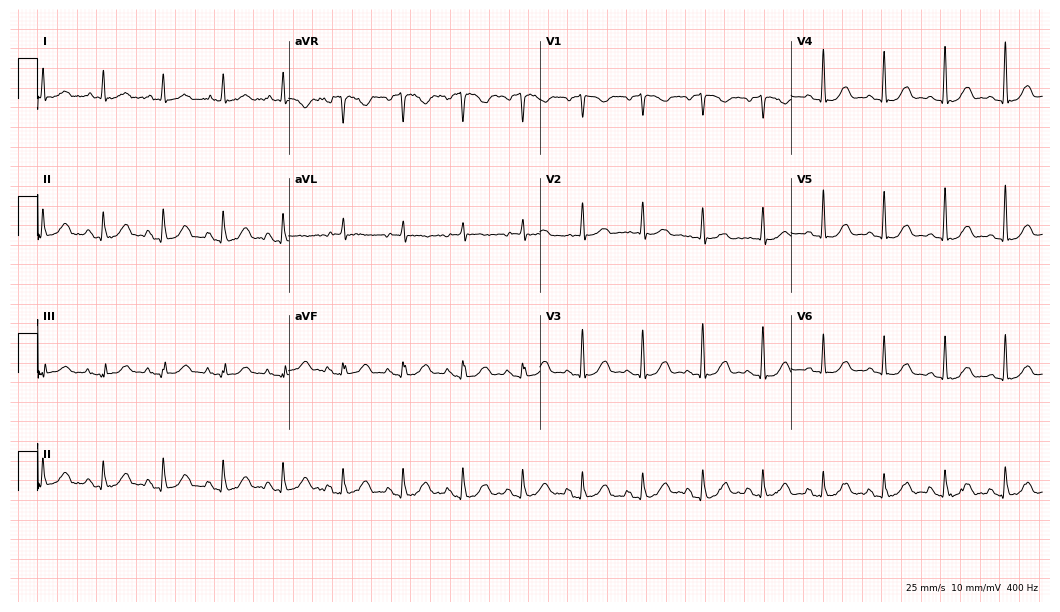
12-lead ECG from a 74-year-old woman. Labelled as a normal ECG.